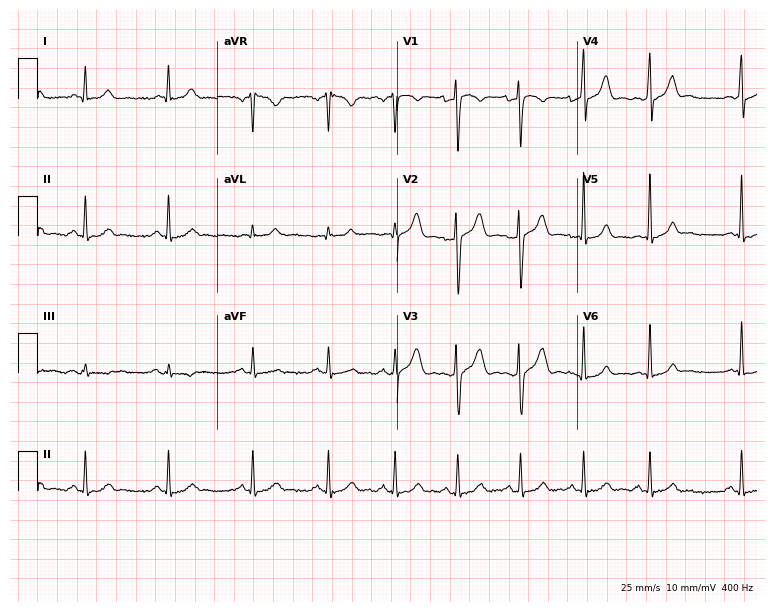
ECG (7.3-second recording at 400 Hz) — a 33-year-old male patient. Screened for six findings — first-degree AV block, right bundle branch block (RBBB), left bundle branch block (LBBB), sinus bradycardia, atrial fibrillation (AF), sinus tachycardia — none is recorded.